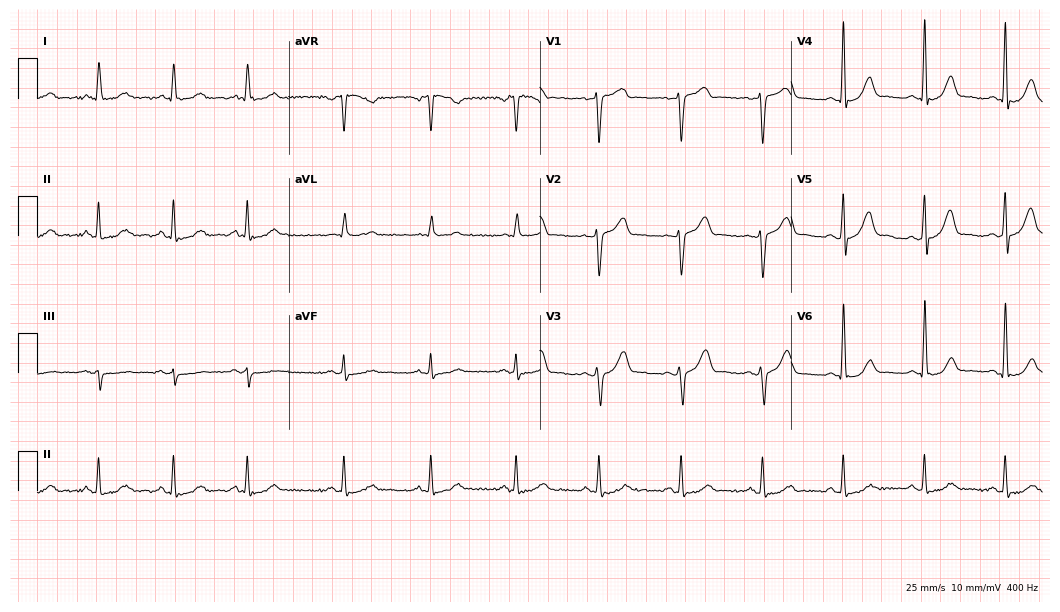
Standard 12-lead ECG recorded from a 49-year-old male patient. Read as a normal ECG.